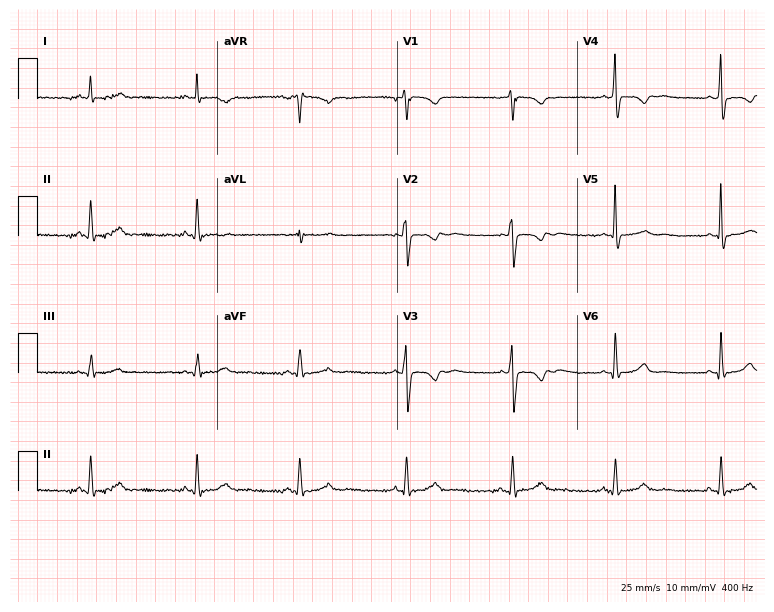
ECG — a female, 17 years old. Labelled as a normal ECG.